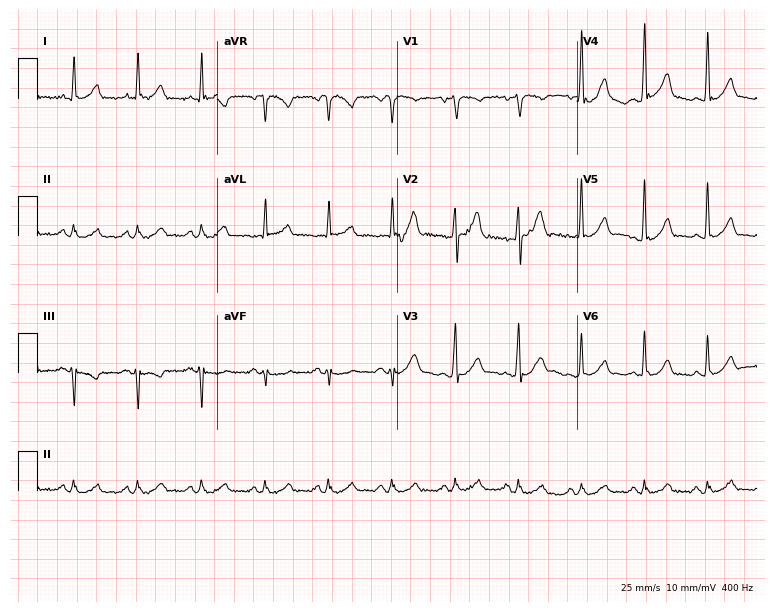
12-lead ECG from a male patient, 47 years old (7.3-second recording at 400 Hz). Recorded interpretation: within normal limits.